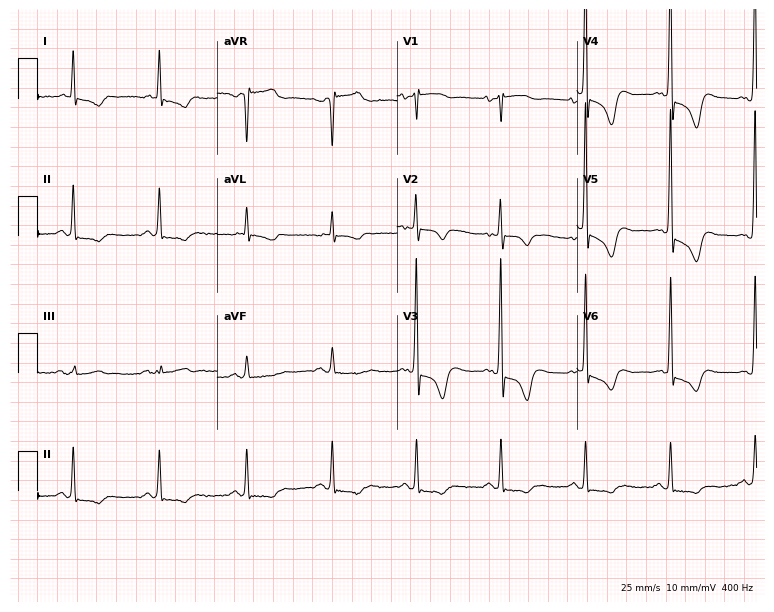
12-lead ECG from a male patient, 80 years old. Screened for six findings — first-degree AV block, right bundle branch block (RBBB), left bundle branch block (LBBB), sinus bradycardia, atrial fibrillation (AF), sinus tachycardia — none is recorded. Other findings, if any, are not listed.